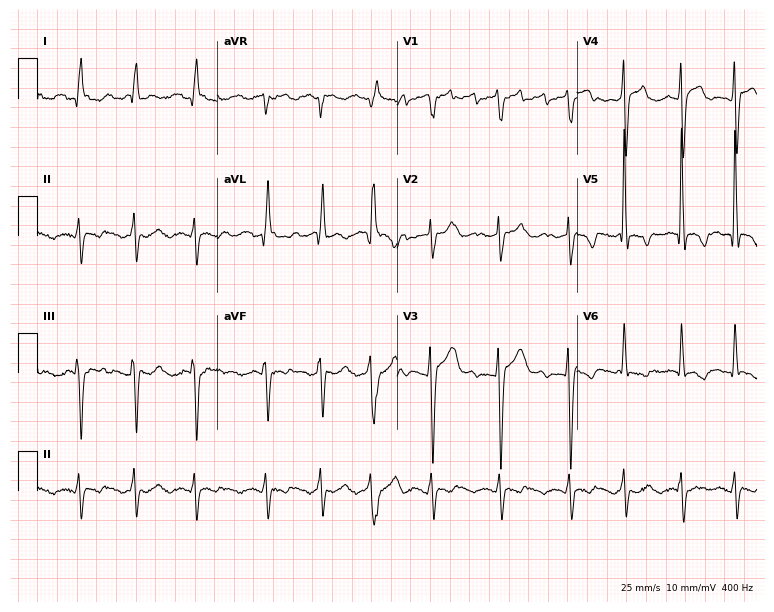
Standard 12-lead ECG recorded from a man, 36 years old. None of these six findings is recorded: first-degree AV block, right bundle branch block, left bundle branch block, sinus bradycardia, atrial fibrillation, sinus tachycardia.